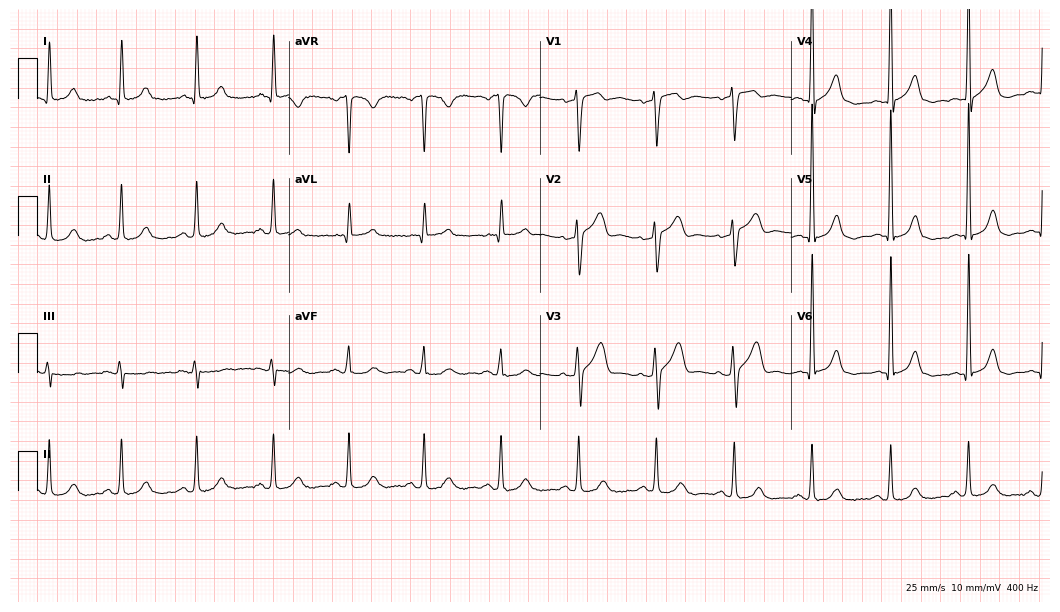
Resting 12-lead electrocardiogram (10.2-second recording at 400 Hz). Patient: a male, 51 years old. Read as a normal ECG.